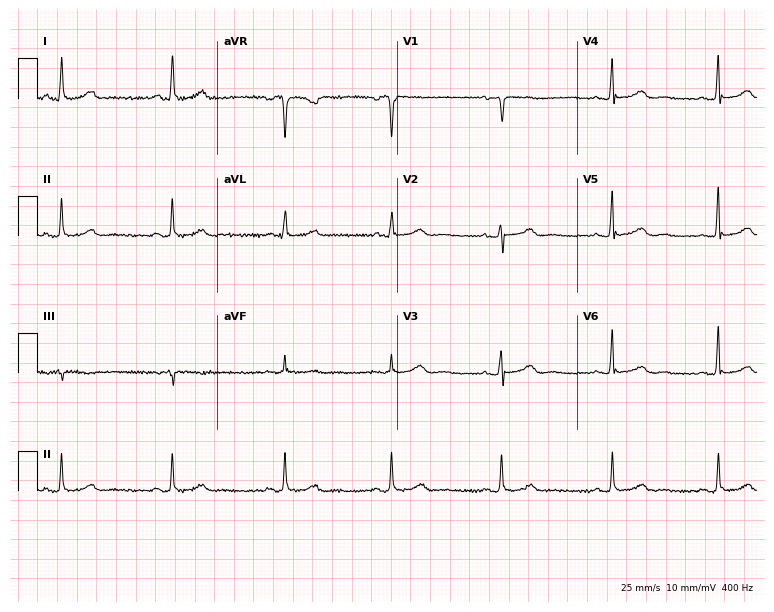
12-lead ECG from a 54-year-old female patient. Recorded interpretation: within normal limits.